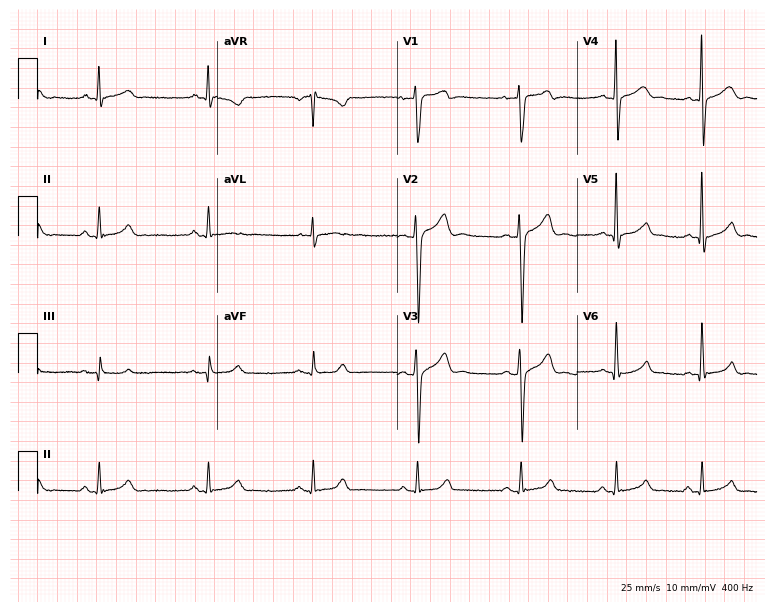
Electrocardiogram, a male, 27 years old. Of the six screened findings (first-degree AV block, right bundle branch block, left bundle branch block, sinus bradycardia, atrial fibrillation, sinus tachycardia), none is recorded.